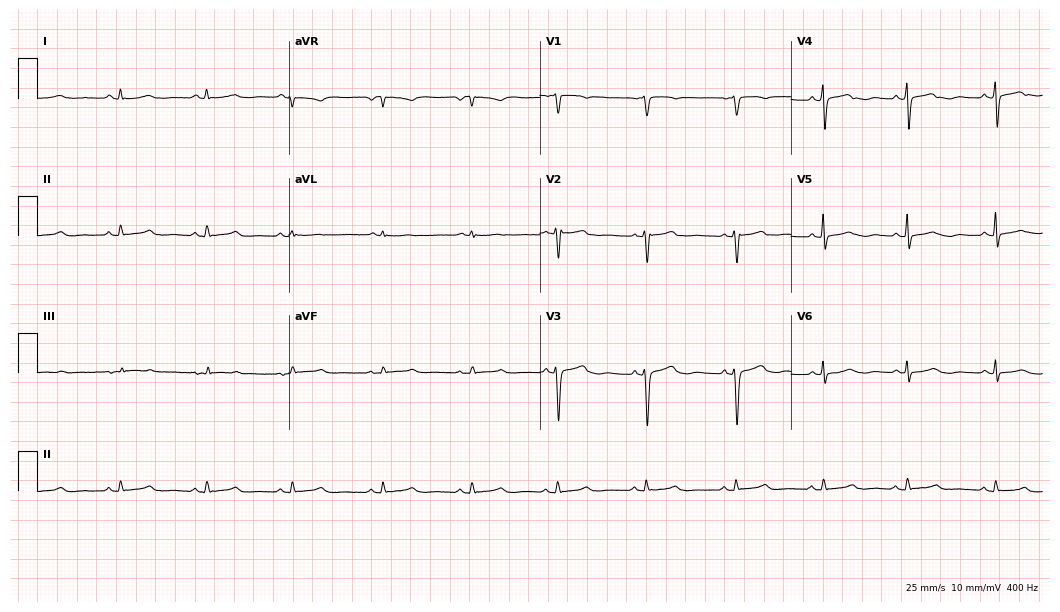
12-lead ECG (10.2-second recording at 400 Hz) from a 78-year-old male patient. Labelled as a normal ECG.